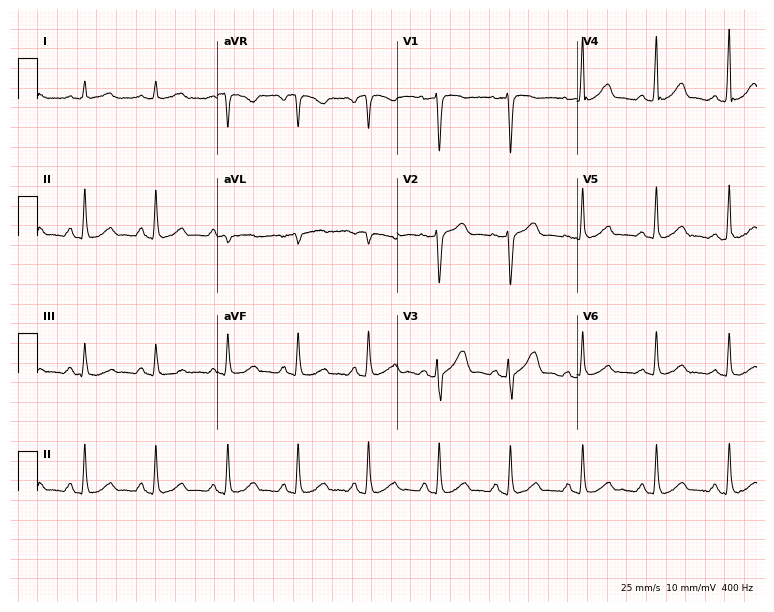
Electrocardiogram (7.3-second recording at 400 Hz), a woman, 44 years old. Overall reading on record: normal ECG.